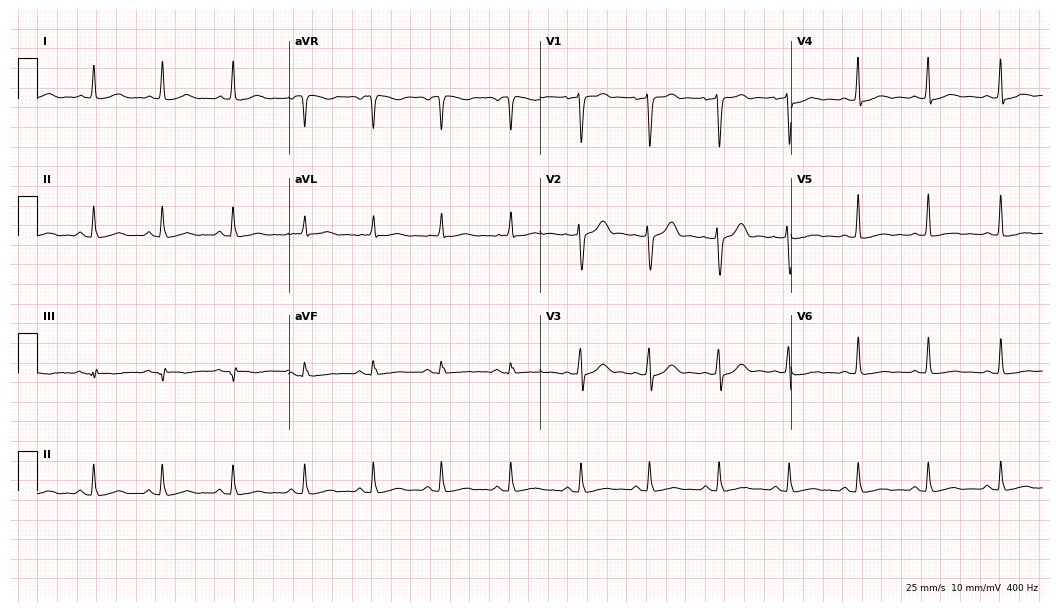
Standard 12-lead ECG recorded from a male, 50 years old (10.2-second recording at 400 Hz). None of these six findings is recorded: first-degree AV block, right bundle branch block, left bundle branch block, sinus bradycardia, atrial fibrillation, sinus tachycardia. Other findings, if any, are not listed.